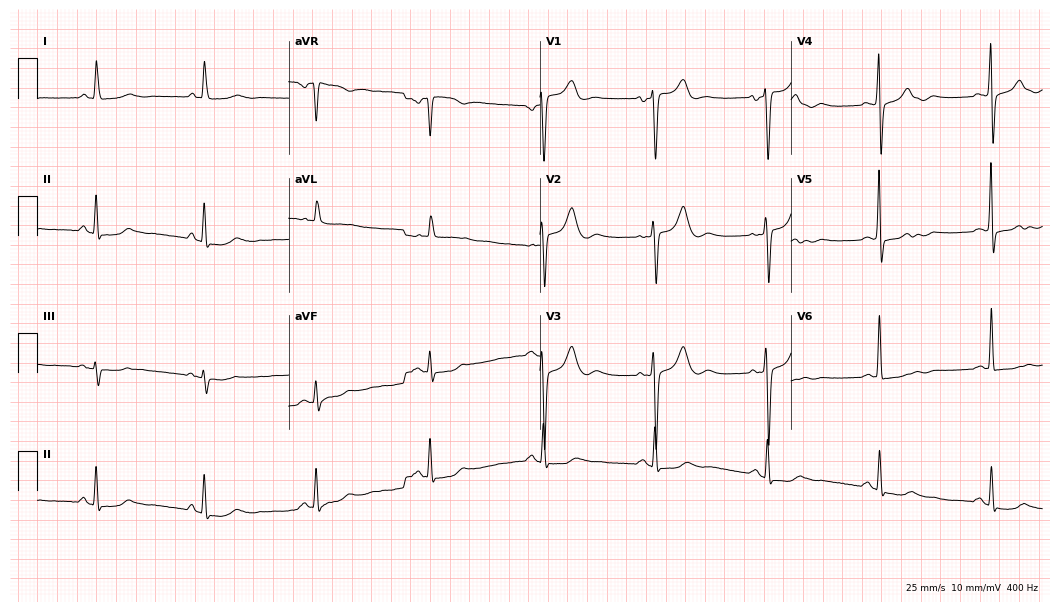
12-lead ECG (10.2-second recording at 400 Hz) from a 71-year-old woman. Screened for six findings — first-degree AV block, right bundle branch block, left bundle branch block, sinus bradycardia, atrial fibrillation, sinus tachycardia — none is recorded.